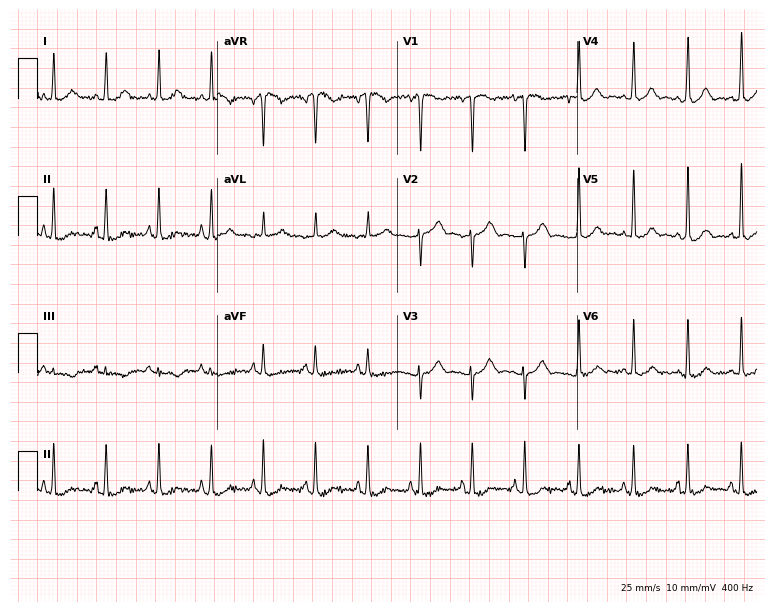
12-lead ECG from a 26-year-old woman. Findings include sinus tachycardia (a sinus rate of 100 beats per minute or more).